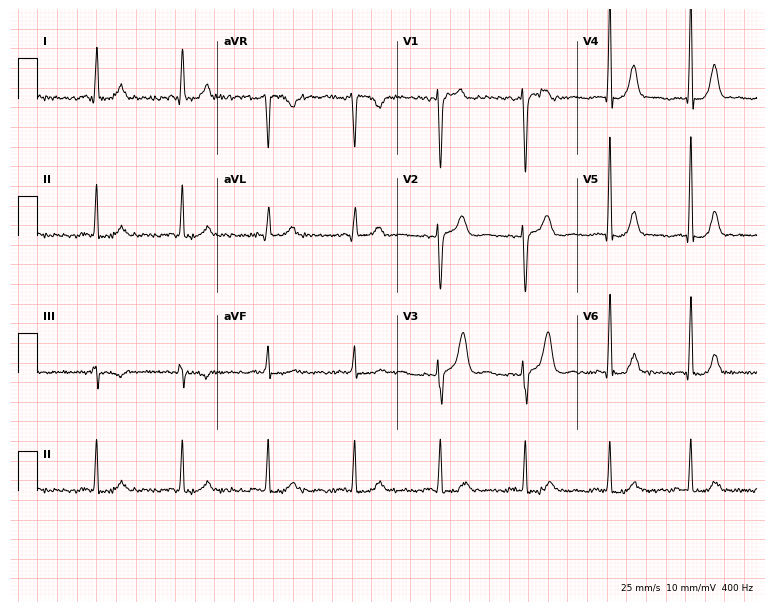
12-lead ECG from a female patient, 41 years old. Screened for six findings — first-degree AV block, right bundle branch block, left bundle branch block, sinus bradycardia, atrial fibrillation, sinus tachycardia — none is recorded.